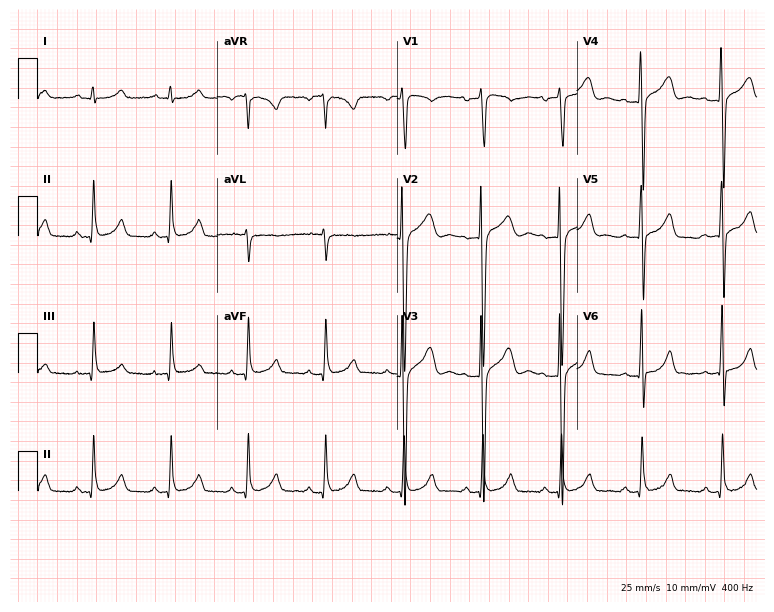
Resting 12-lead electrocardiogram (7.3-second recording at 400 Hz). Patient: a 29-year-old male. Read as a normal ECG.